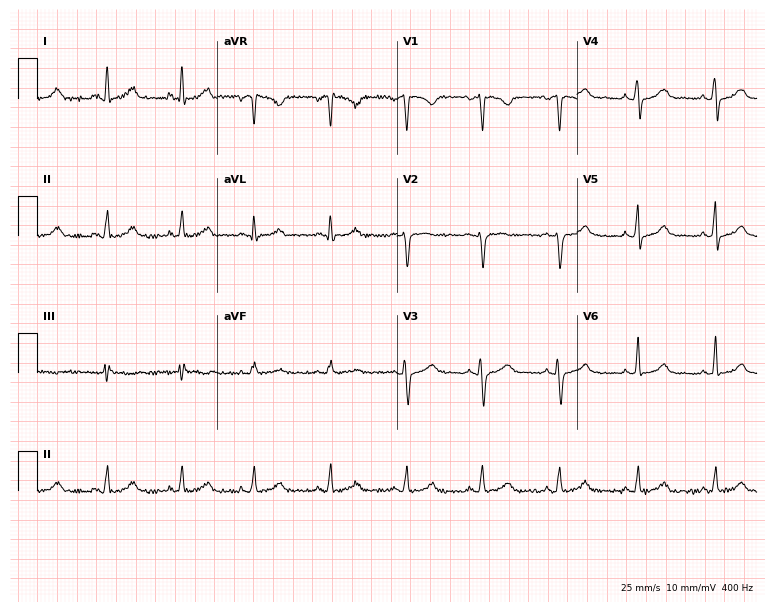
ECG (7.3-second recording at 400 Hz) — a female, 24 years old. Labelled as a normal ECG.